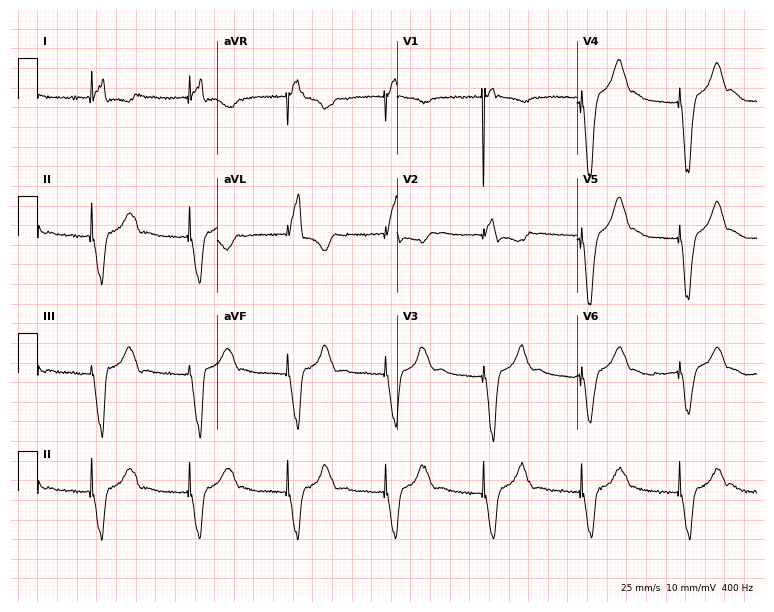
Standard 12-lead ECG recorded from a female, 63 years old. None of these six findings is recorded: first-degree AV block, right bundle branch block, left bundle branch block, sinus bradycardia, atrial fibrillation, sinus tachycardia. Other findings, if any, are not listed.